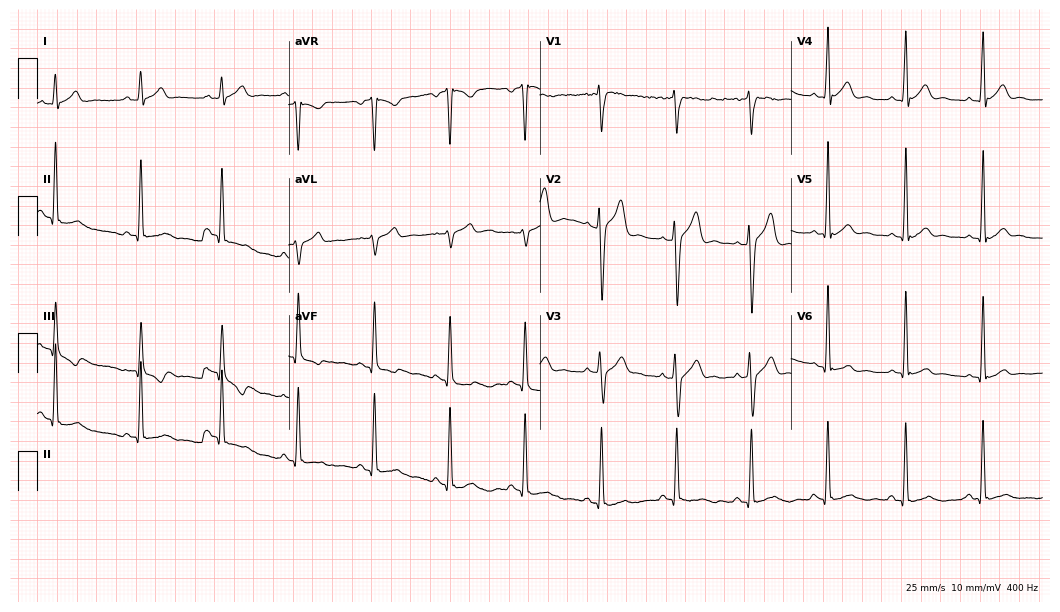
12-lead ECG from a 30-year-old male (10.2-second recording at 400 Hz). Recorded interpretation: within normal limits.